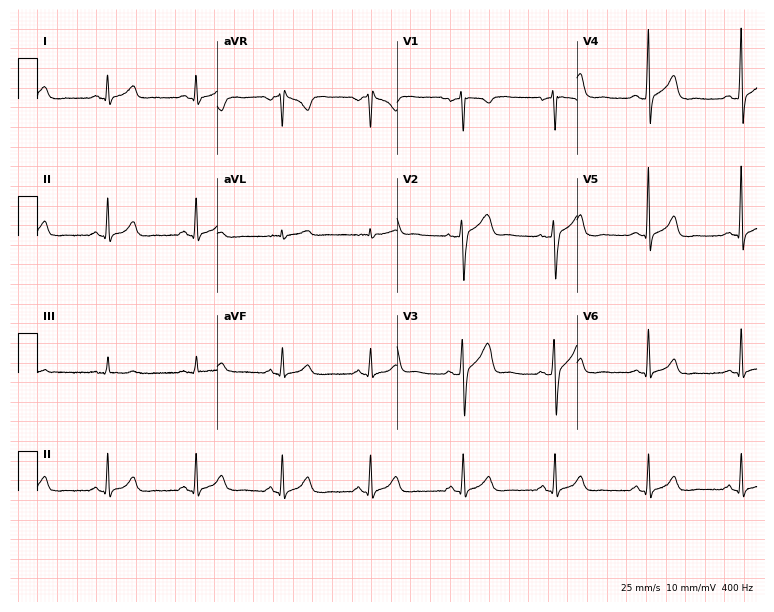
12-lead ECG (7.3-second recording at 400 Hz) from a 43-year-old man. Labelled as a normal ECG.